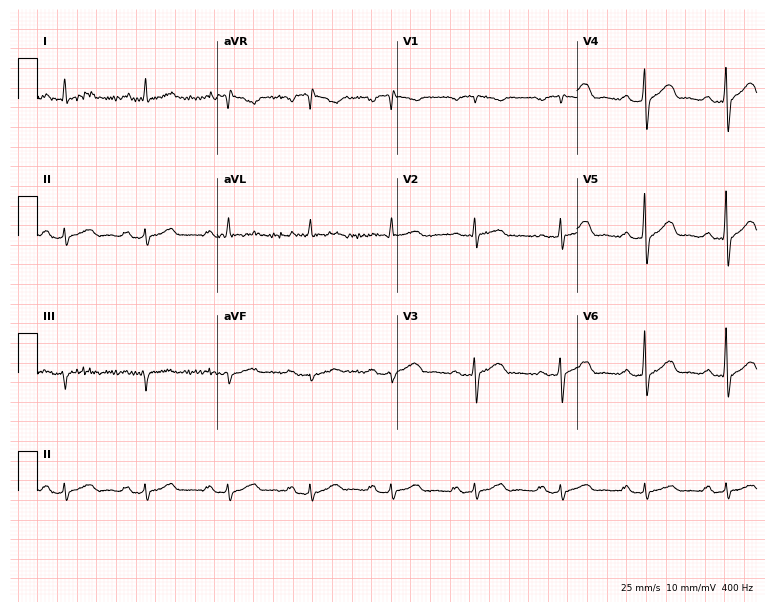
12-lead ECG from a man, 72 years old. Recorded interpretation: within normal limits.